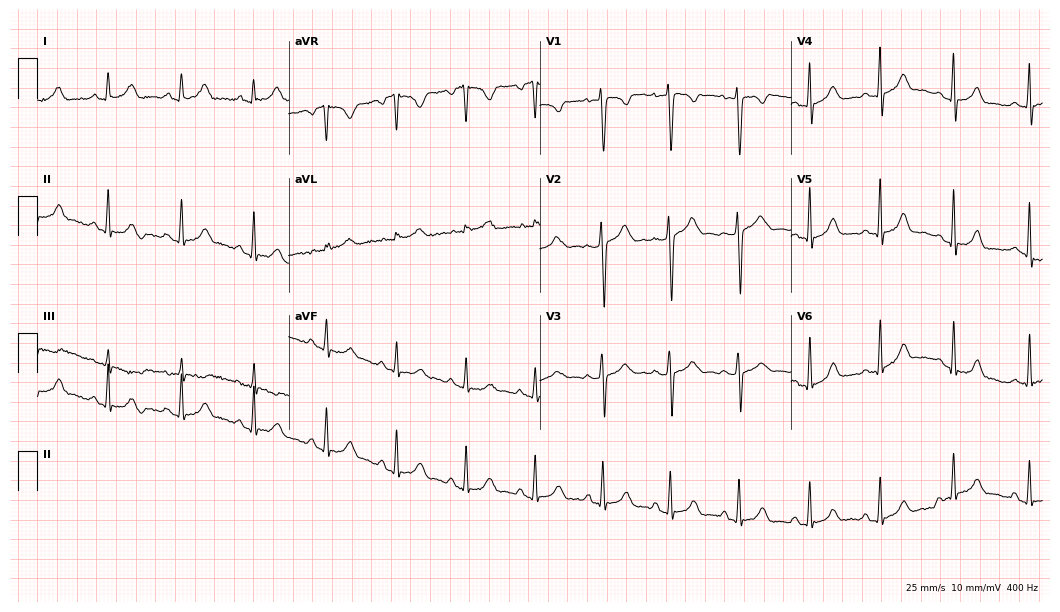
12-lead ECG from a female patient, 26 years old. Recorded interpretation: within normal limits.